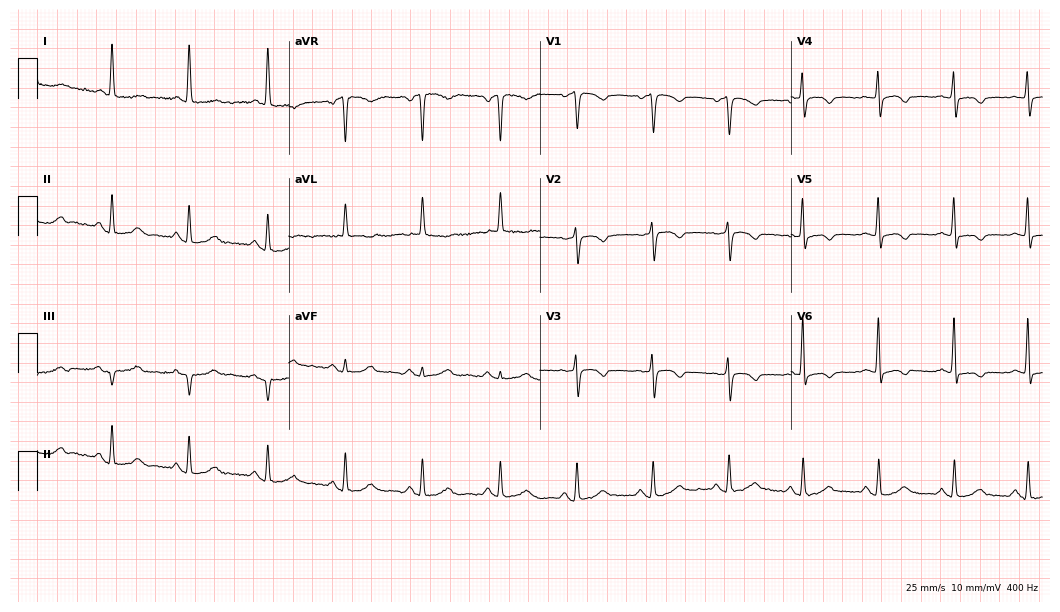
Standard 12-lead ECG recorded from a female, 84 years old. None of these six findings is recorded: first-degree AV block, right bundle branch block (RBBB), left bundle branch block (LBBB), sinus bradycardia, atrial fibrillation (AF), sinus tachycardia. Findings outside these six are not listed.